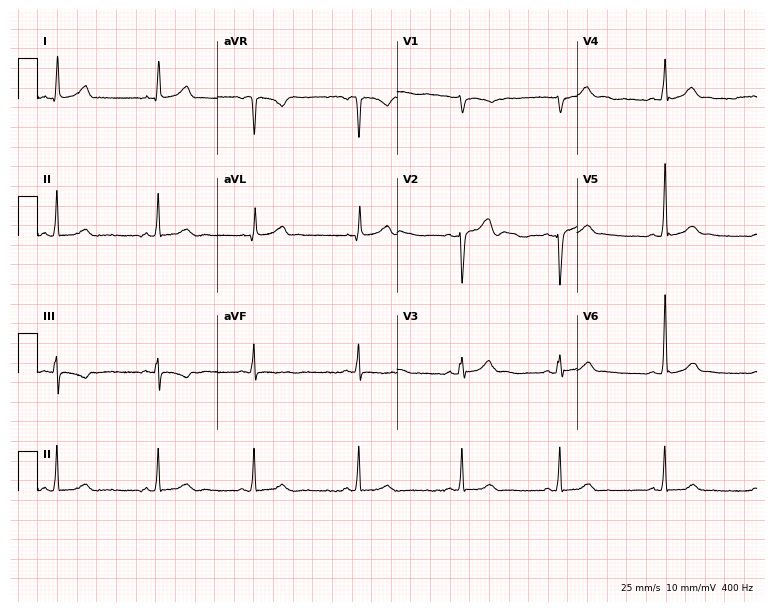
Standard 12-lead ECG recorded from a 32-year-old male patient. None of these six findings is recorded: first-degree AV block, right bundle branch block, left bundle branch block, sinus bradycardia, atrial fibrillation, sinus tachycardia.